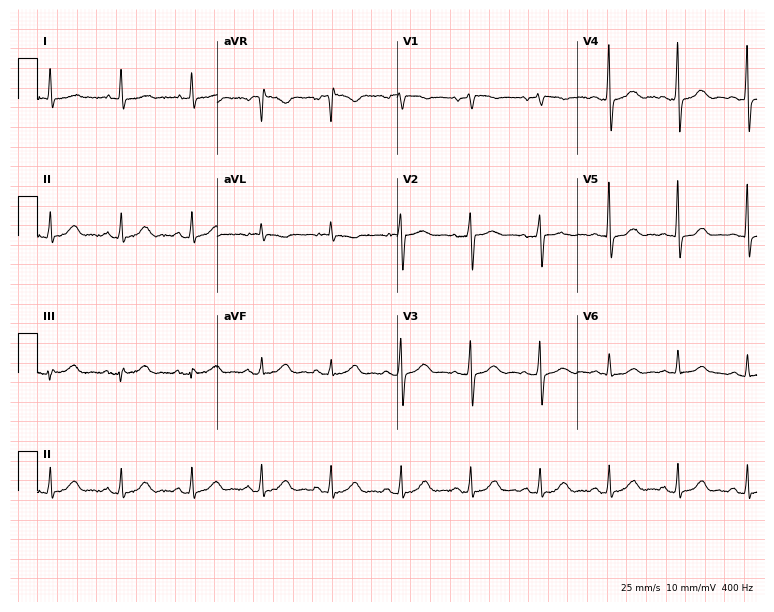
12-lead ECG (7.3-second recording at 400 Hz) from an 83-year-old man. Labelled as a normal ECG.